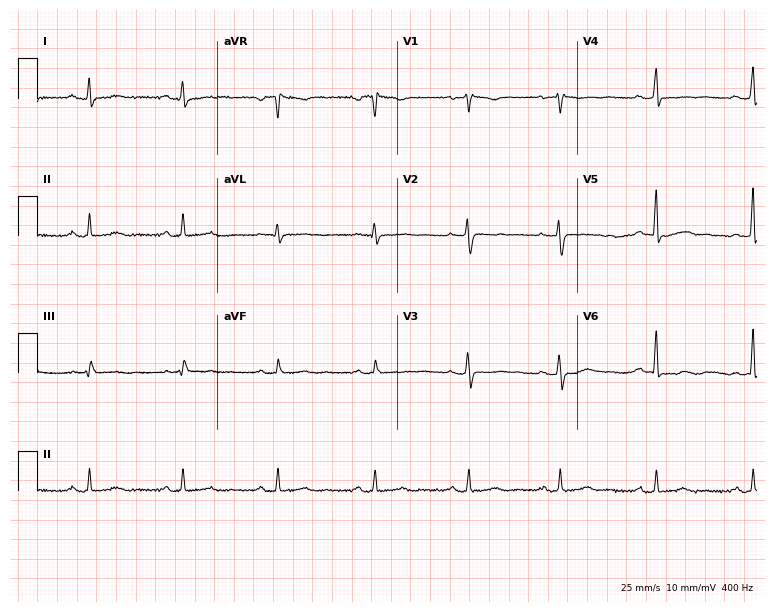
Electrocardiogram, a 37-year-old woman. Of the six screened findings (first-degree AV block, right bundle branch block (RBBB), left bundle branch block (LBBB), sinus bradycardia, atrial fibrillation (AF), sinus tachycardia), none is recorded. Findings outside these six are not listed.